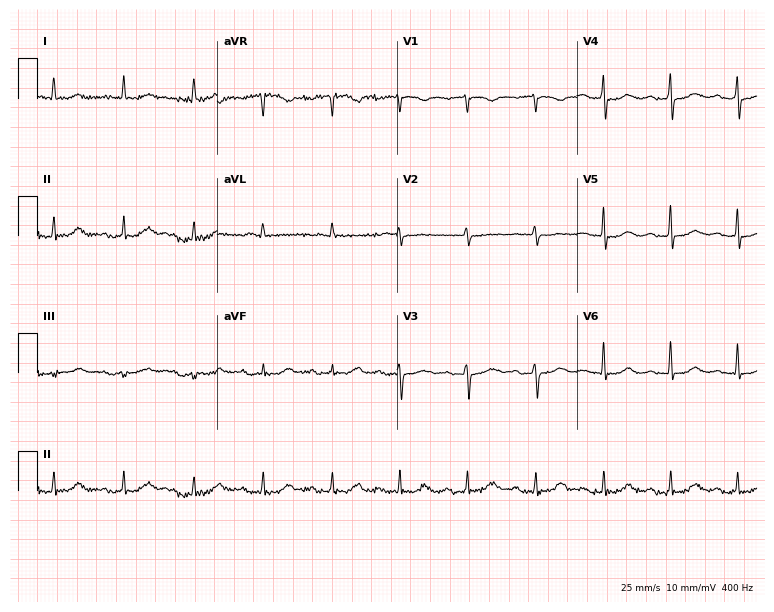
12-lead ECG from an 82-year-old female patient. Screened for six findings — first-degree AV block, right bundle branch block, left bundle branch block, sinus bradycardia, atrial fibrillation, sinus tachycardia — none is recorded. Findings outside these six are not listed.